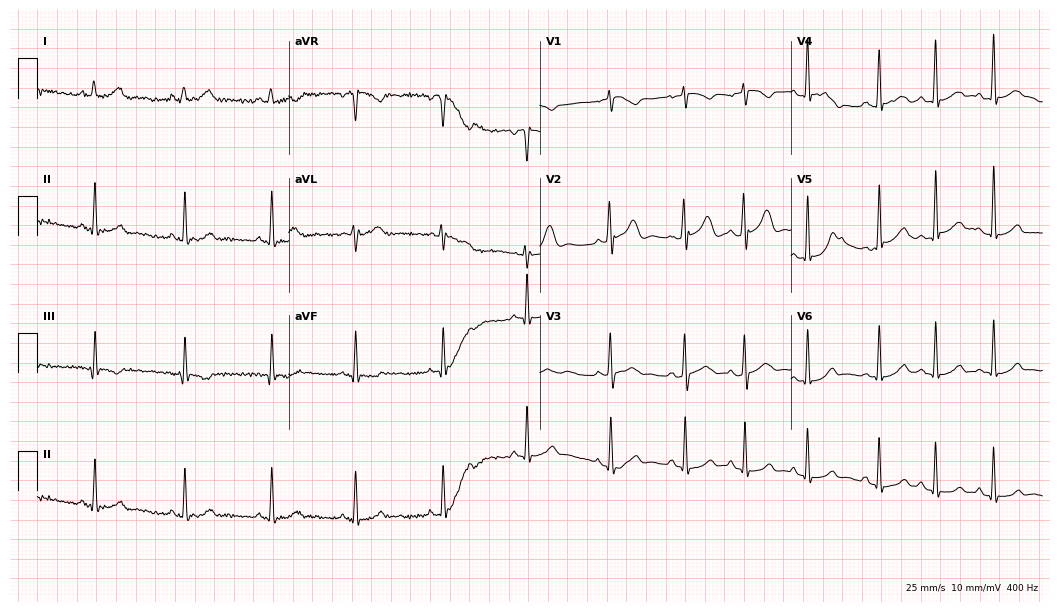
12-lead ECG from an 18-year-old woman (10.2-second recording at 400 Hz). Recorded interpretation: within normal limits.